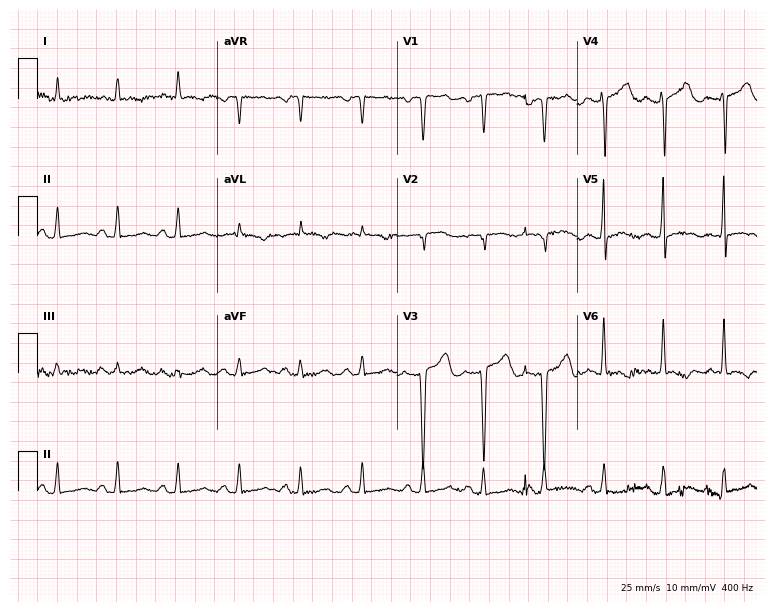
12-lead ECG from a 74-year-old female patient. No first-degree AV block, right bundle branch block, left bundle branch block, sinus bradycardia, atrial fibrillation or sinus tachycardia recorded for this tracing. Other findings, if any, are not listed.